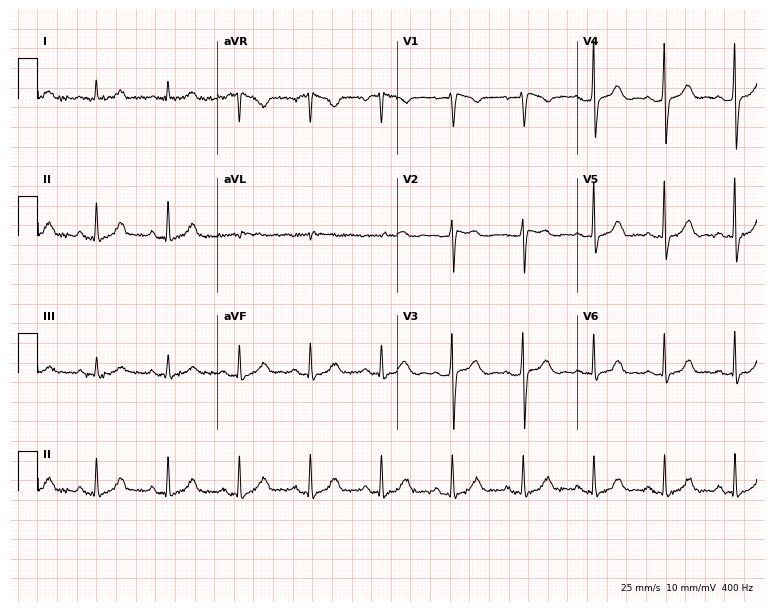
Electrocardiogram (7.3-second recording at 400 Hz), a female patient, 67 years old. Of the six screened findings (first-degree AV block, right bundle branch block (RBBB), left bundle branch block (LBBB), sinus bradycardia, atrial fibrillation (AF), sinus tachycardia), none is recorded. Findings outside these six are not listed.